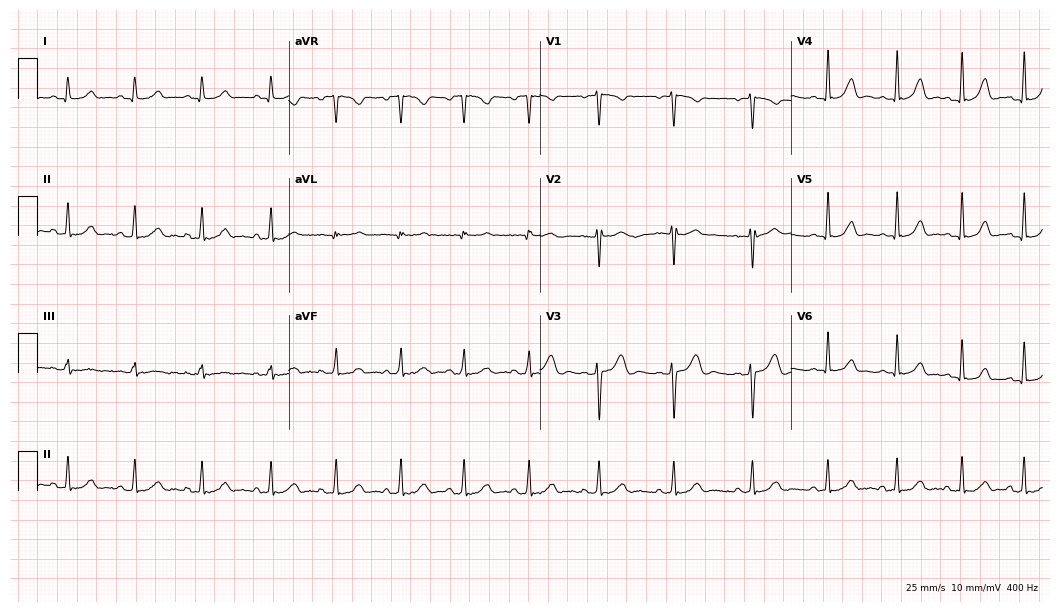
ECG (10.2-second recording at 400 Hz) — a female, 23 years old. Labelled as a normal ECG.